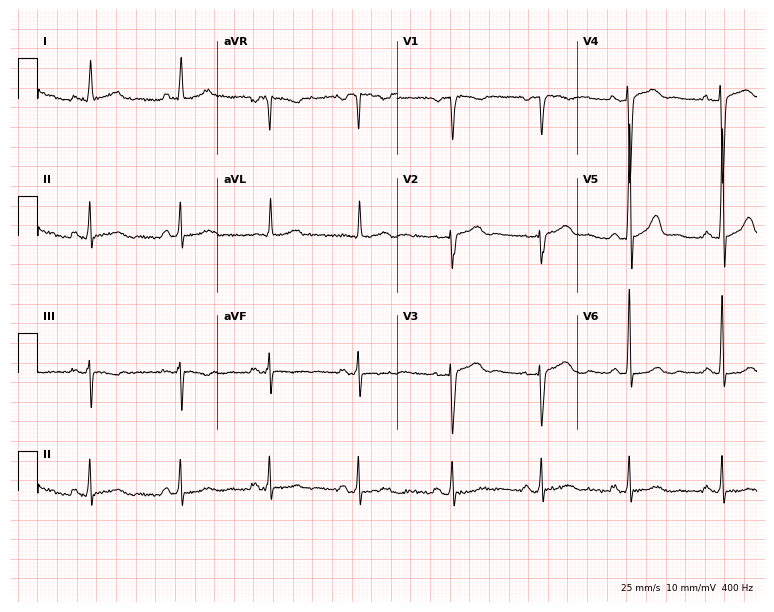
ECG (7.3-second recording at 400 Hz) — a female patient, 62 years old. Screened for six findings — first-degree AV block, right bundle branch block (RBBB), left bundle branch block (LBBB), sinus bradycardia, atrial fibrillation (AF), sinus tachycardia — none is recorded. Only these six findings were labelled.